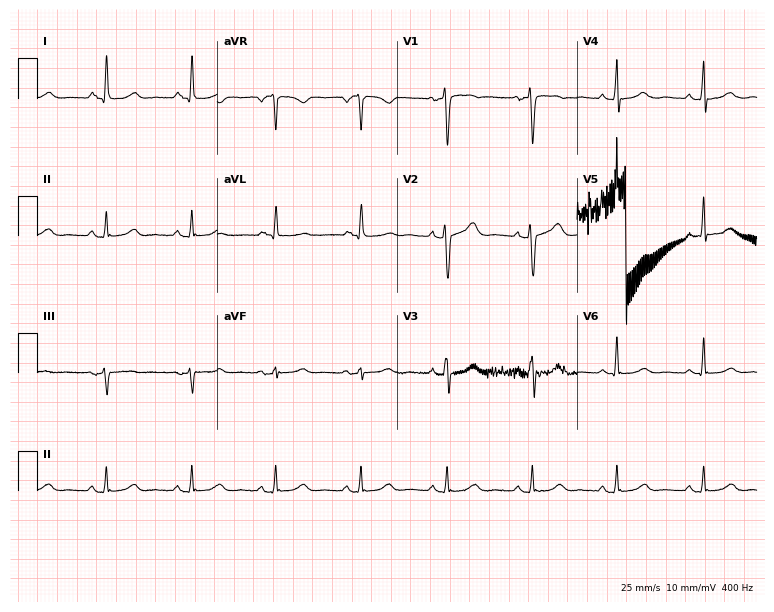
Electrocardiogram (7.3-second recording at 400 Hz), a 62-year-old female patient. Overall reading on record: normal ECG.